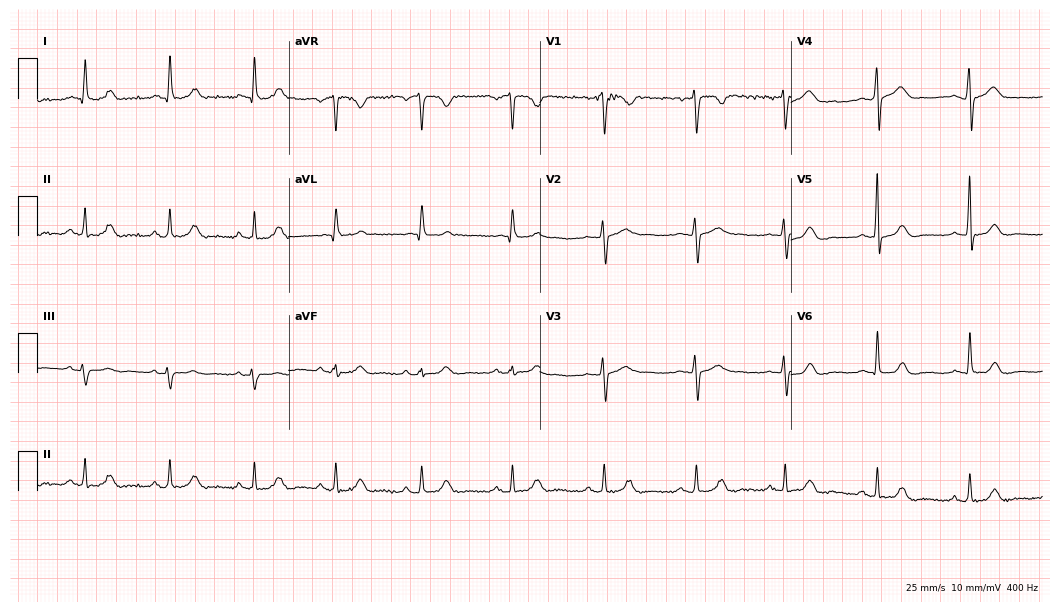
Standard 12-lead ECG recorded from a female, 27 years old. Read as a normal ECG.